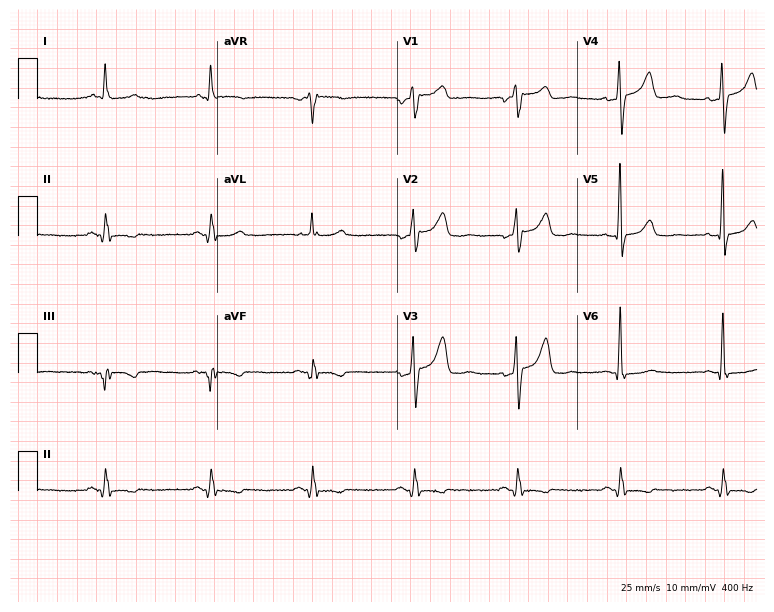
12-lead ECG (7.3-second recording at 400 Hz) from a male, 70 years old. Screened for six findings — first-degree AV block, right bundle branch block, left bundle branch block, sinus bradycardia, atrial fibrillation, sinus tachycardia — none is recorded.